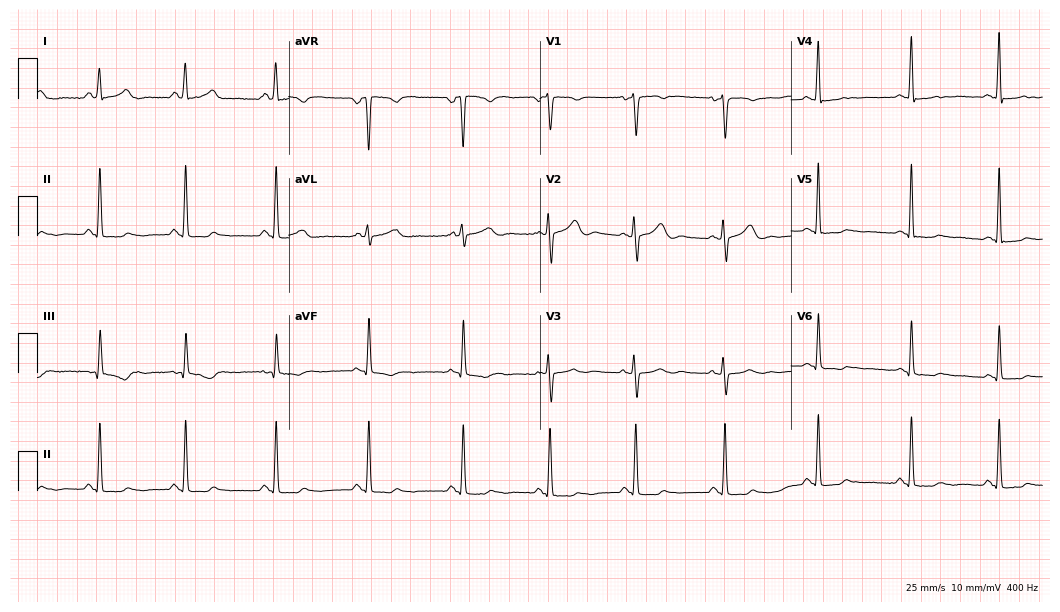
12-lead ECG (10.2-second recording at 400 Hz) from a female patient, 37 years old. Labelled as a normal ECG.